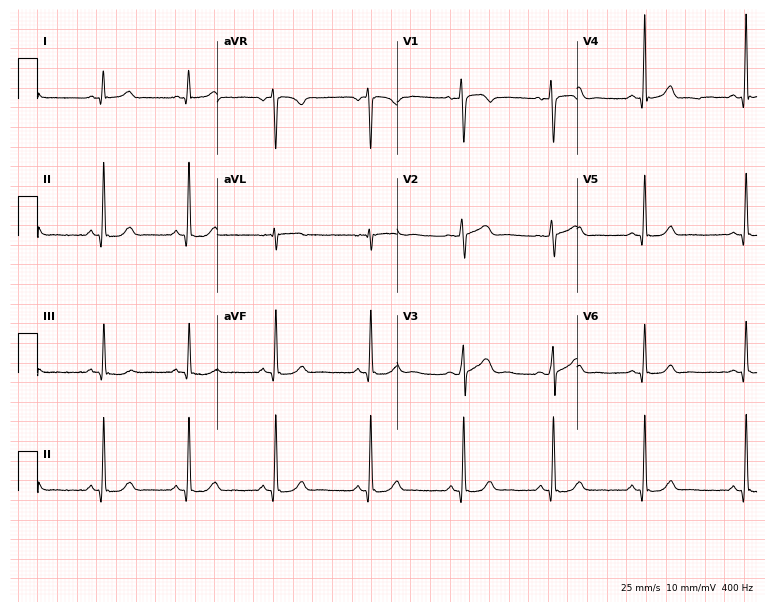
12-lead ECG from a female, 29 years old. Labelled as a normal ECG.